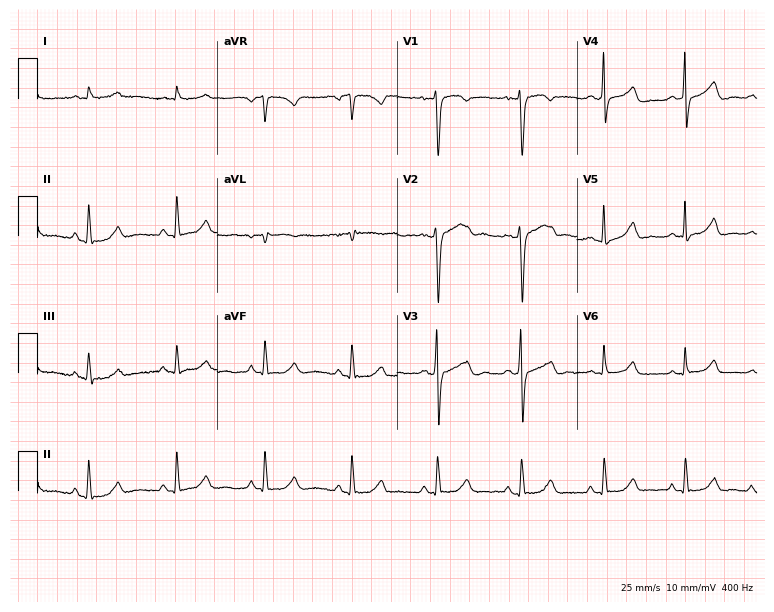
Electrocardiogram, a woman, 45 years old. Of the six screened findings (first-degree AV block, right bundle branch block (RBBB), left bundle branch block (LBBB), sinus bradycardia, atrial fibrillation (AF), sinus tachycardia), none is recorded. Only these six findings were labelled.